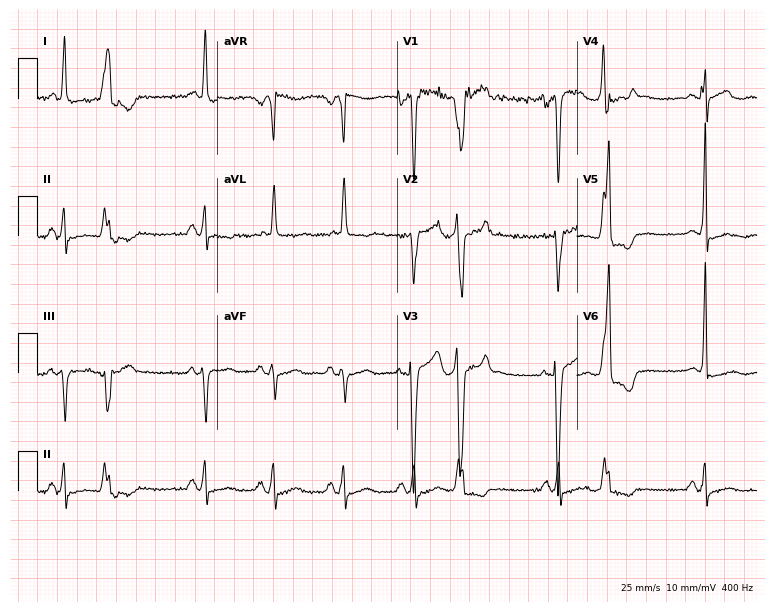
12-lead ECG from a 73-year-old male. Screened for six findings — first-degree AV block, right bundle branch block, left bundle branch block, sinus bradycardia, atrial fibrillation, sinus tachycardia — none is recorded. Other findings, if any, are not listed.